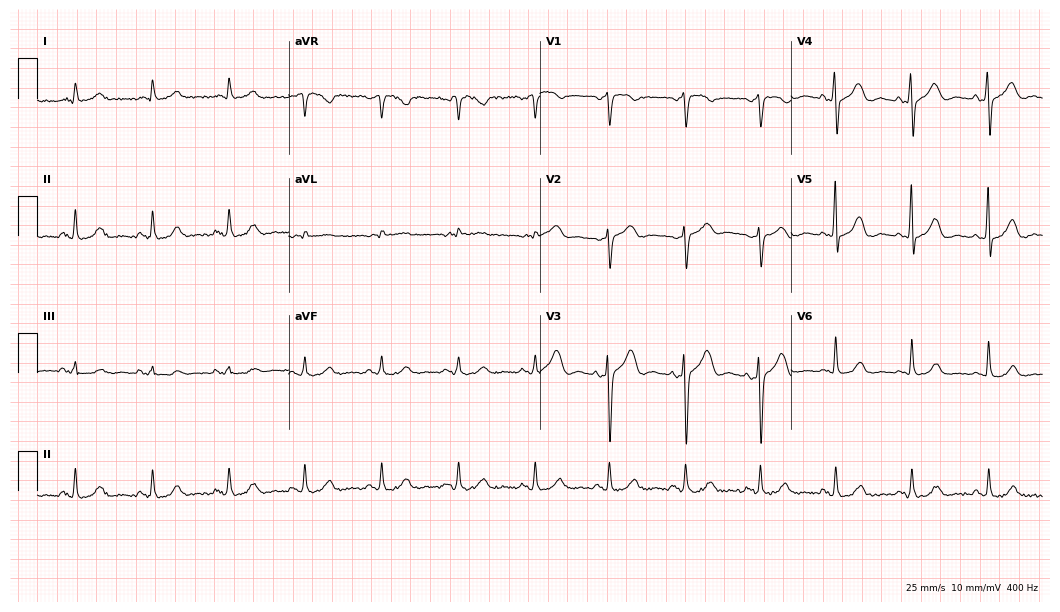
Standard 12-lead ECG recorded from a 79-year-old female. Read as a normal ECG.